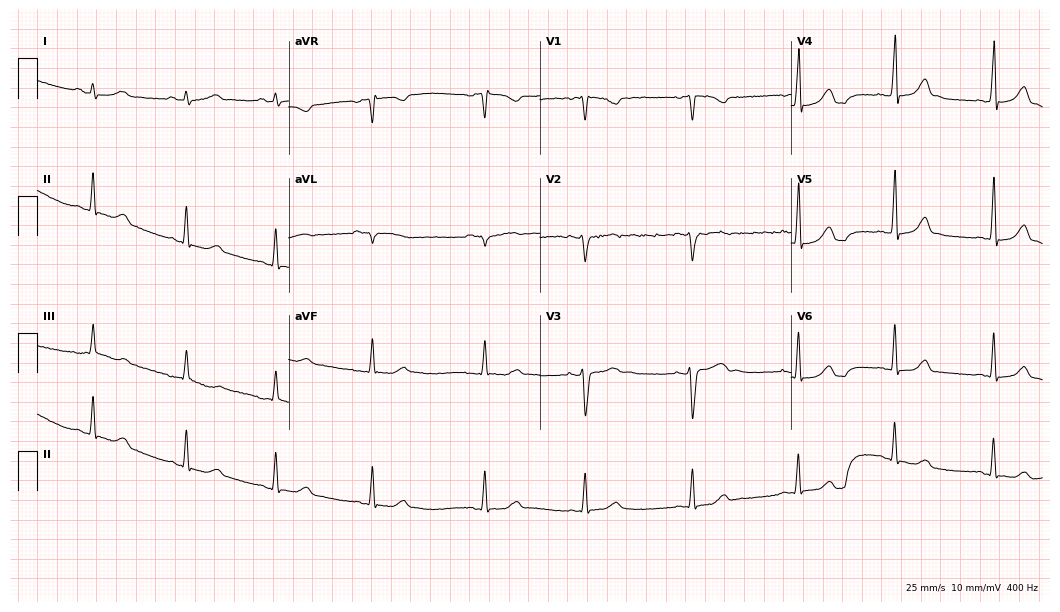
Standard 12-lead ECG recorded from an 18-year-old woman. Read as a normal ECG.